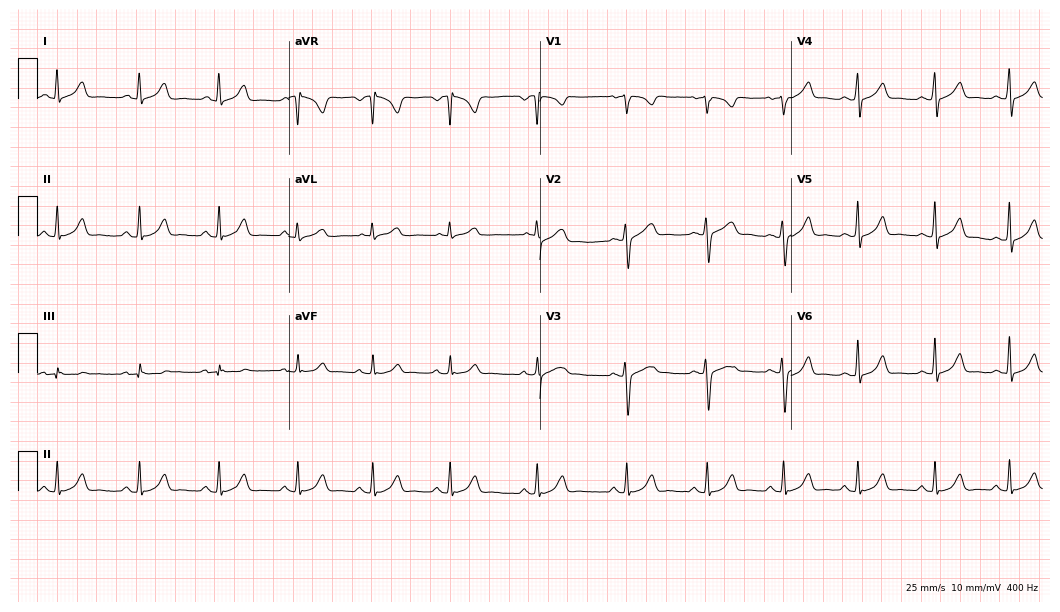
12-lead ECG from a female, 20 years old (10.2-second recording at 400 Hz). No first-degree AV block, right bundle branch block (RBBB), left bundle branch block (LBBB), sinus bradycardia, atrial fibrillation (AF) or sinus tachycardia recorded for this tracing.